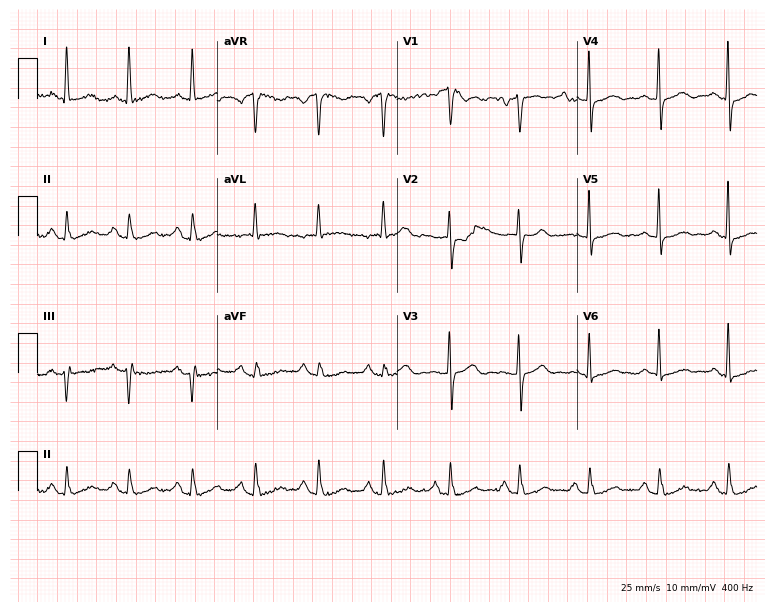
Resting 12-lead electrocardiogram. Patient: a female, 62 years old. None of these six findings is recorded: first-degree AV block, right bundle branch block, left bundle branch block, sinus bradycardia, atrial fibrillation, sinus tachycardia.